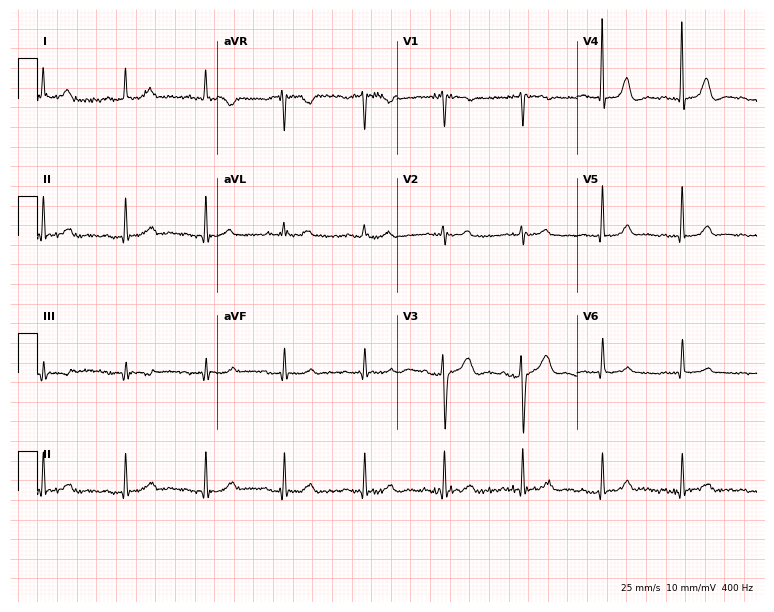
12-lead ECG (7.3-second recording at 400 Hz) from a female, 78 years old. Labelled as a normal ECG.